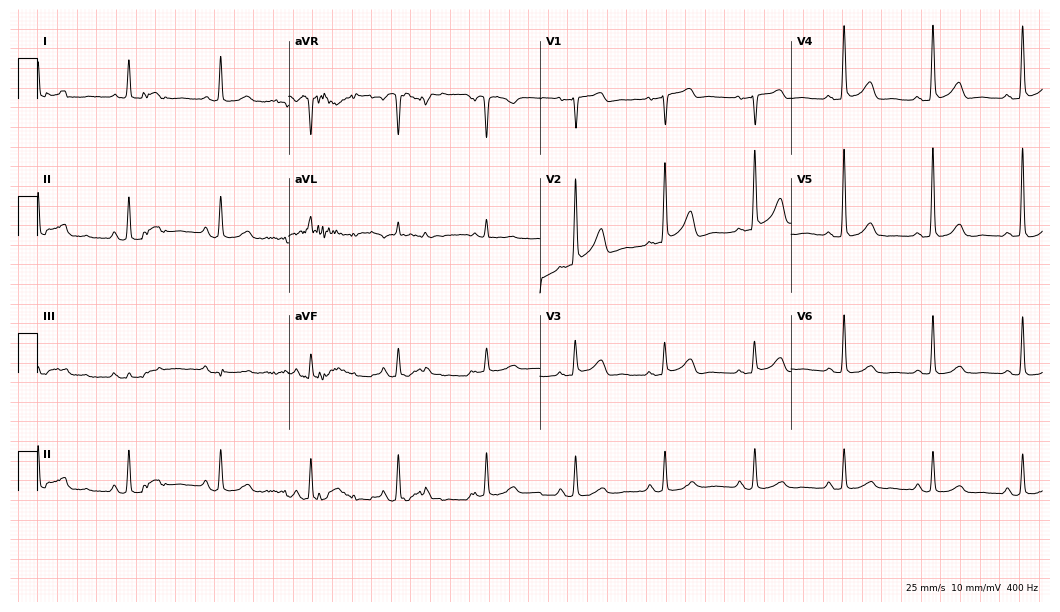
12-lead ECG from a 79-year-old female (10.2-second recording at 400 Hz). No first-degree AV block, right bundle branch block (RBBB), left bundle branch block (LBBB), sinus bradycardia, atrial fibrillation (AF) or sinus tachycardia recorded for this tracing. Other findings, if any, are not listed.